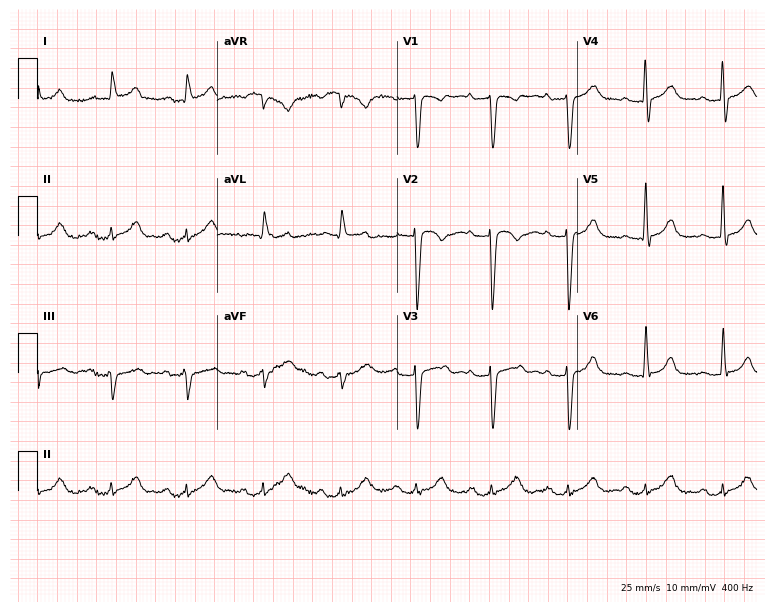
Standard 12-lead ECG recorded from a female patient, 59 years old. The tracing shows first-degree AV block.